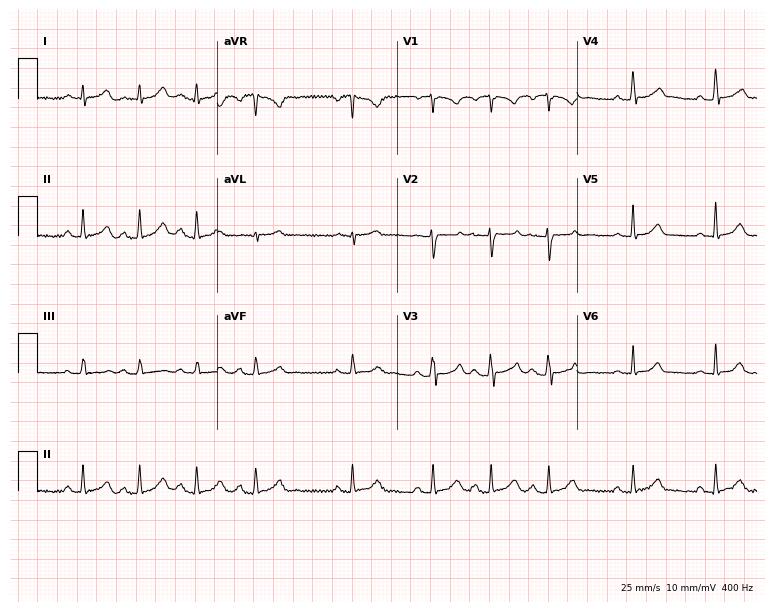
Standard 12-lead ECG recorded from a 27-year-old female patient. Read as a normal ECG.